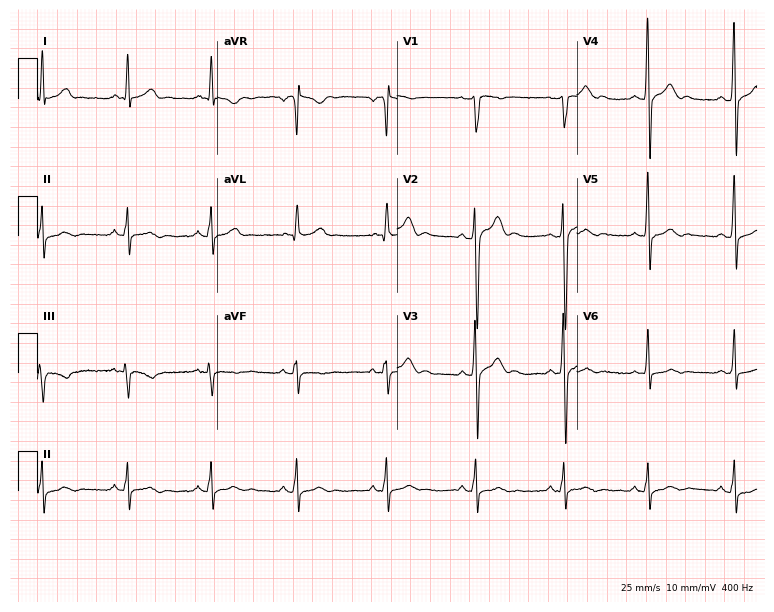
12-lead ECG from a 29-year-old man. Labelled as a normal ECG.